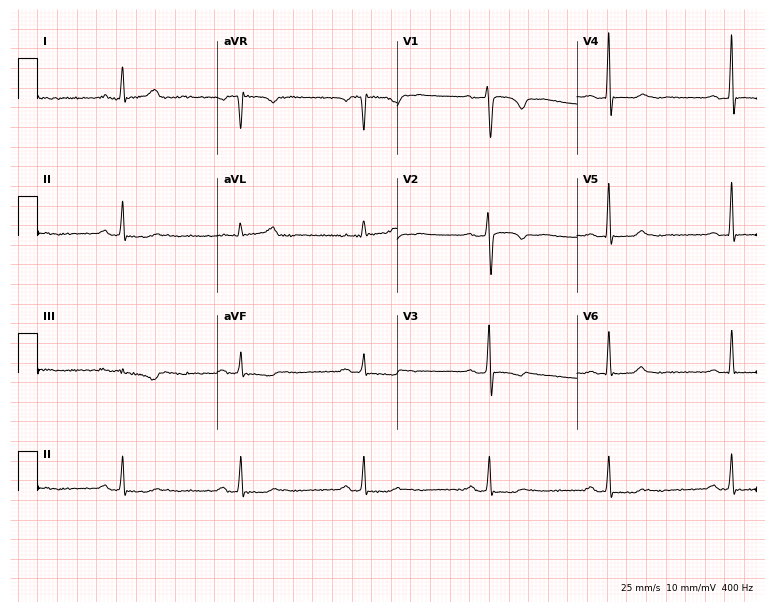
Resting 12-lead electrocardiogram. Patient: a female, 51 years old. None of these six findings is recorded: first-degree AV block, right bundle branch block (RBBB), left bundle branch block (LBBB), sinus bradycardia, atrial fibrillation (AF), sinus tachycardia. Only these six findings were labelled.